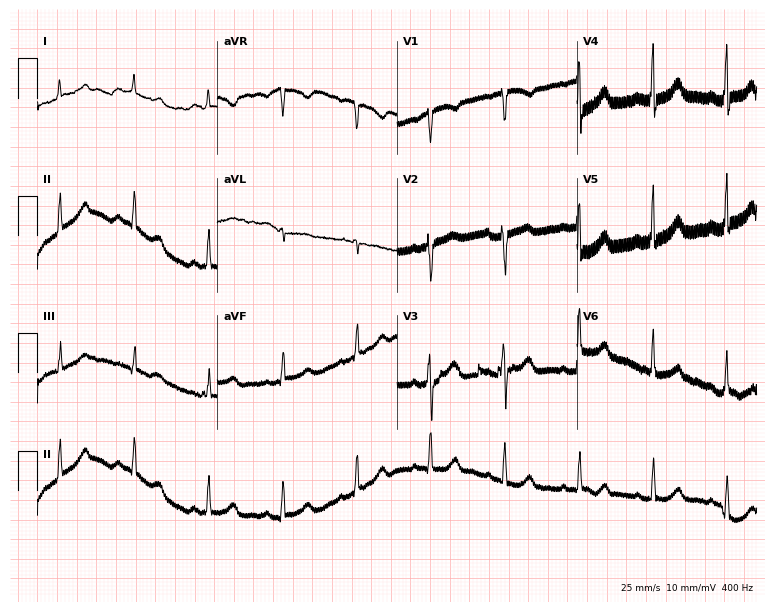
12-lead ECG from a female, 72 years old. Screened for six findings — first-degree AV block, right bundle branch block, left bundle branch block, sinus bradycardia, atrial fibrillation, sinus tachycardia — none is recorded. Findings outside these six are not listed.